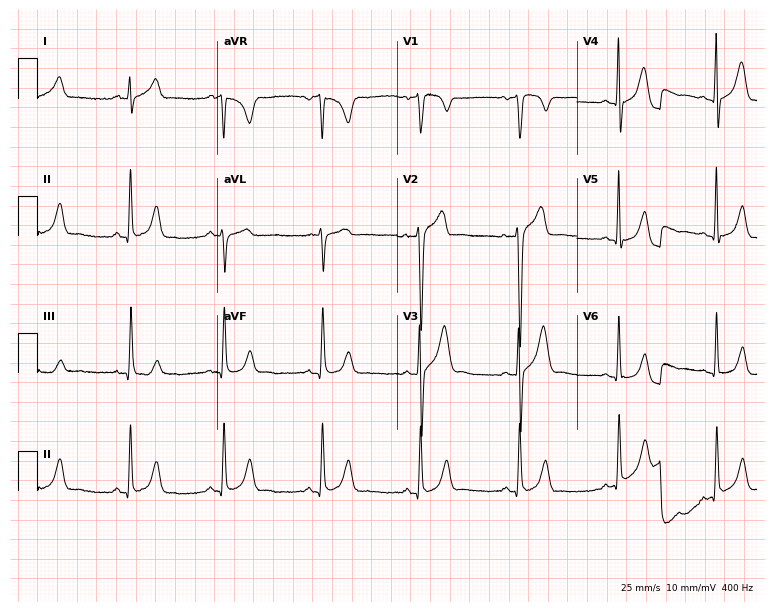
ECG (7.3-second recording at 400 Hz) — a male, 32 years old. Labelled as a normal ECG.